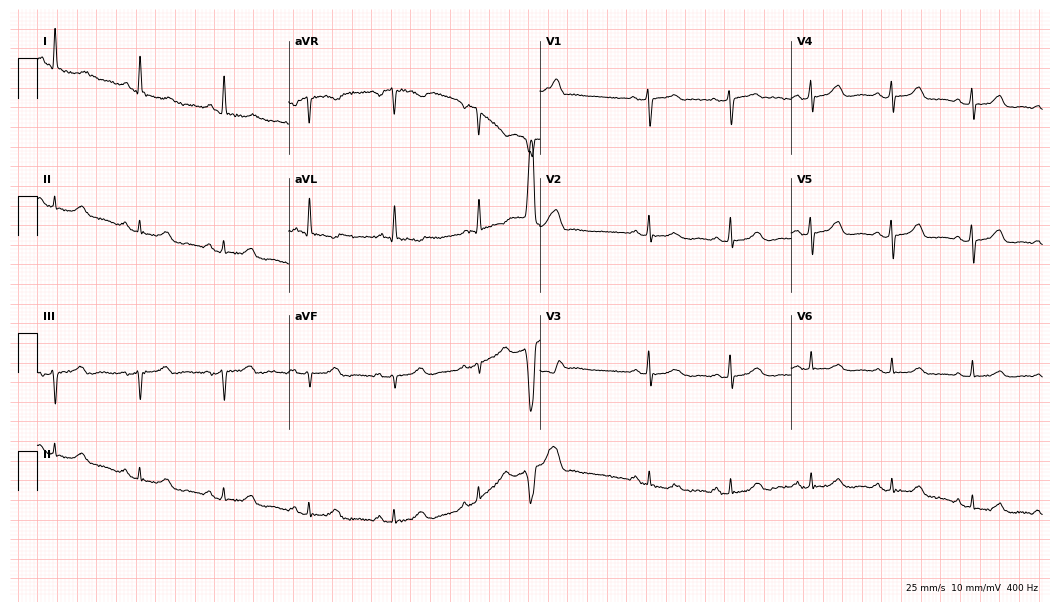
ECG (10.2-second recording at 400 Hz) — a 70-year-old female. Labelled as a normal ECG.